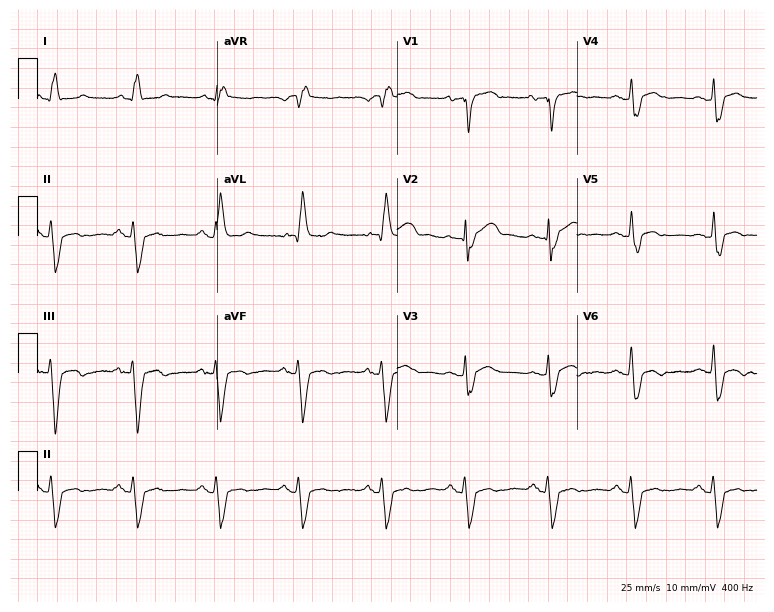
Standard 12-lead ECG recorded from a man, 72 years old (7.3-second recording at 400 Hz). None of these six findings is recorded: first-degree AV block, right bundle branch block, left bundle branch block, sinus bradycardia, atrial fibrillation, sinus tachycardia.